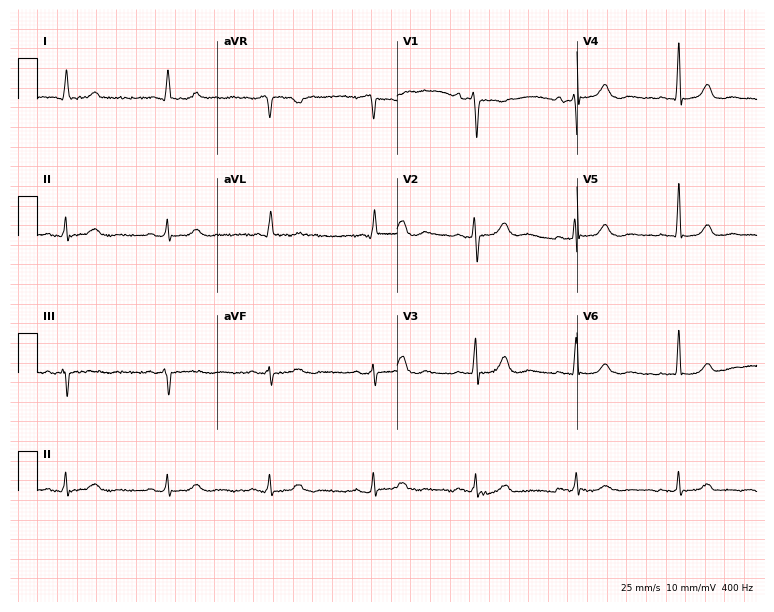
Standard 12-lead ECG recorded from an 84-year-old female. Read as a normal ECG.